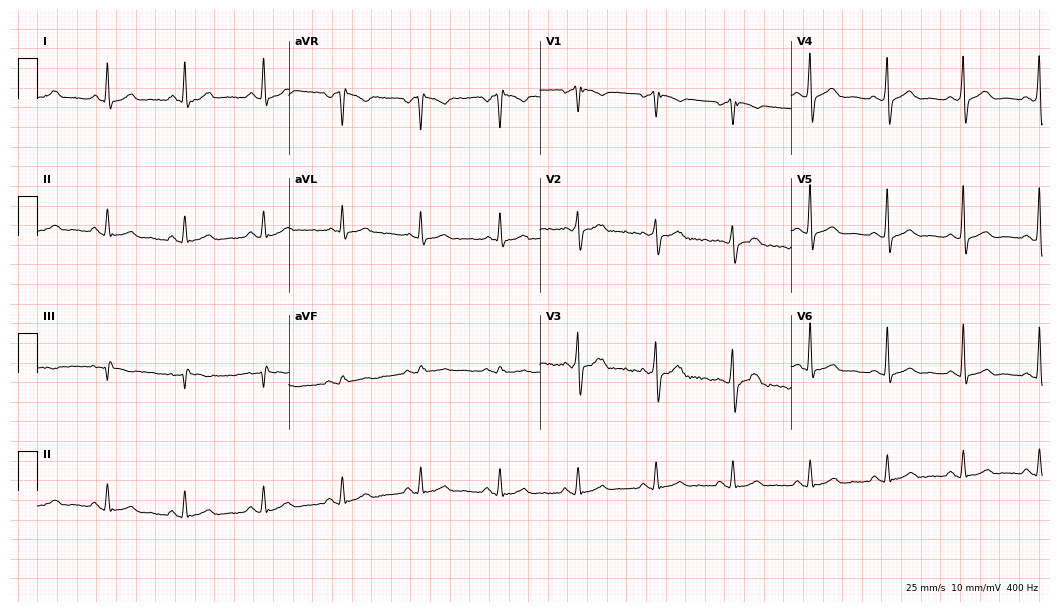
Electrocardiogram (10.2-second recording at 400 Hz), a male, 53 years old. Overall reading on record: normal ECG.